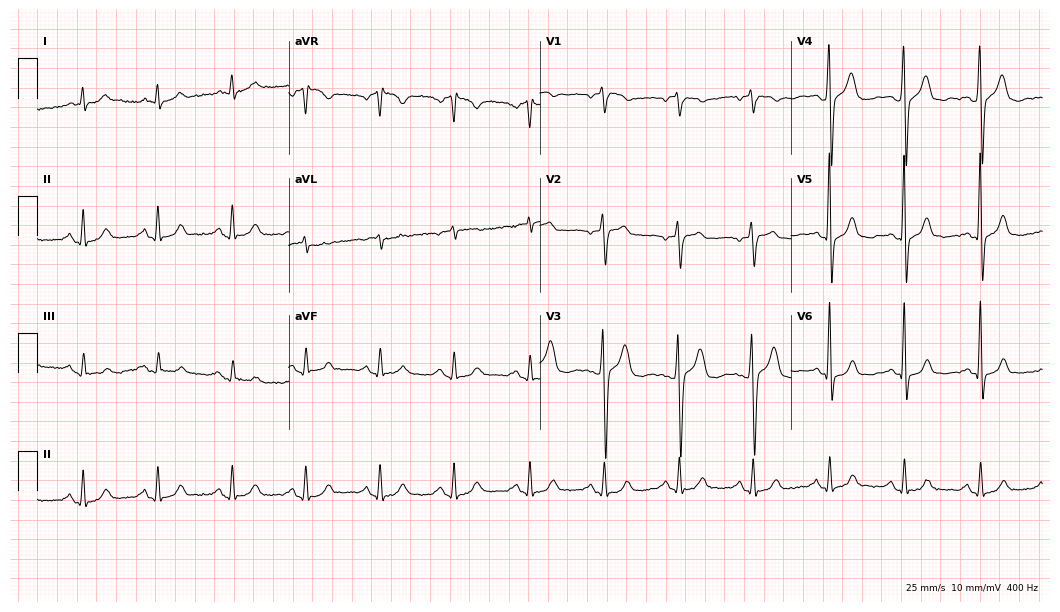
Electrocardiogram (10.2-second recording at 400 Hz), a male, 79 years old. Overall reading on record: normal ECG.